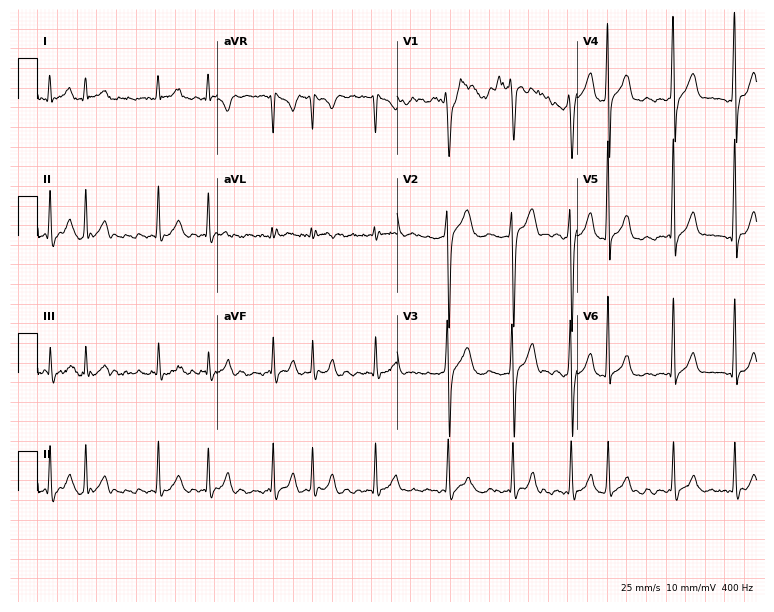
Resting 12-lead electrocardiogram (7.3-second recording at 400 Hz). Patient: a male, 37 years old. The tracing shows atrial fibrillation.